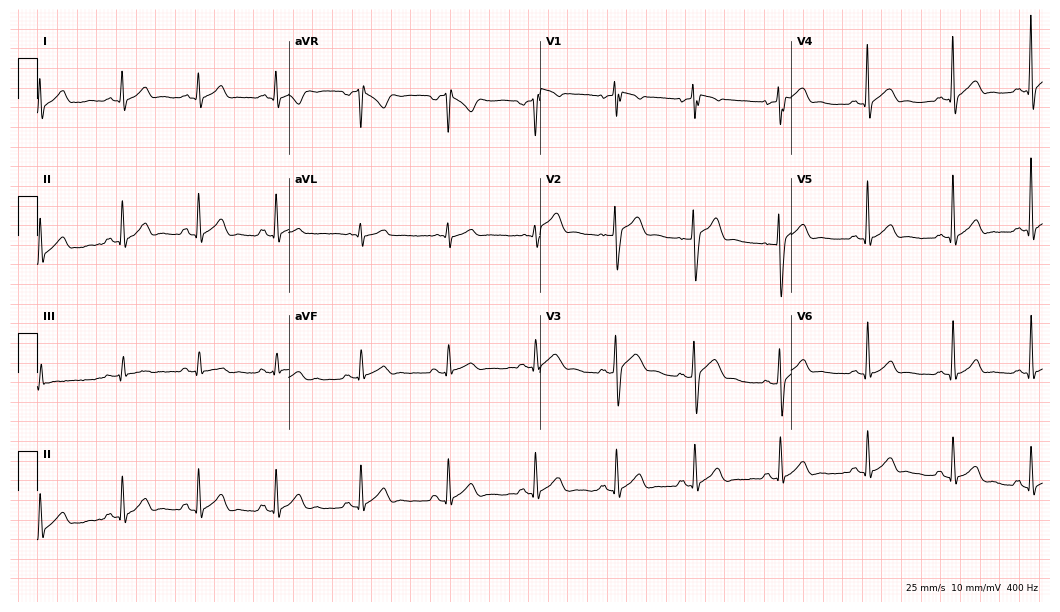
12-lead ECG from a male, 25 years old. Labelled as a normal ECG.